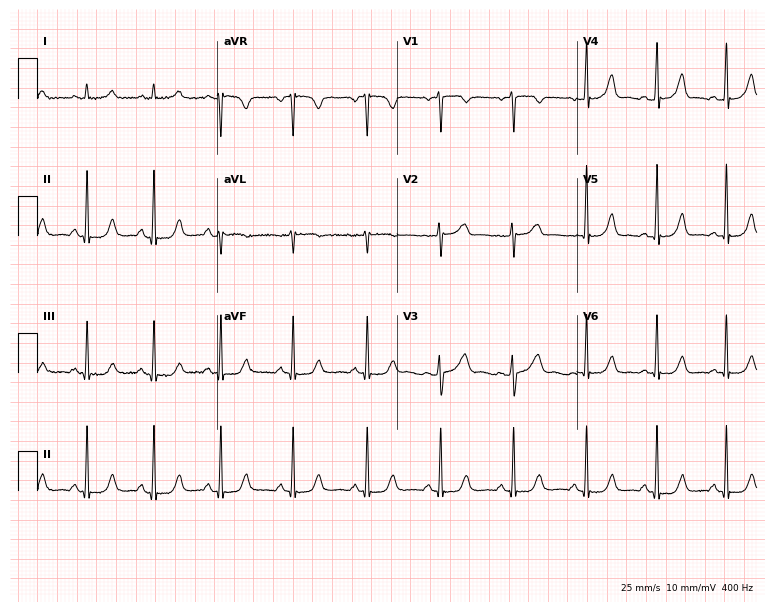
Electrocardiogram, a 49-year-old female patient. Overall reading on record: normal ECG.